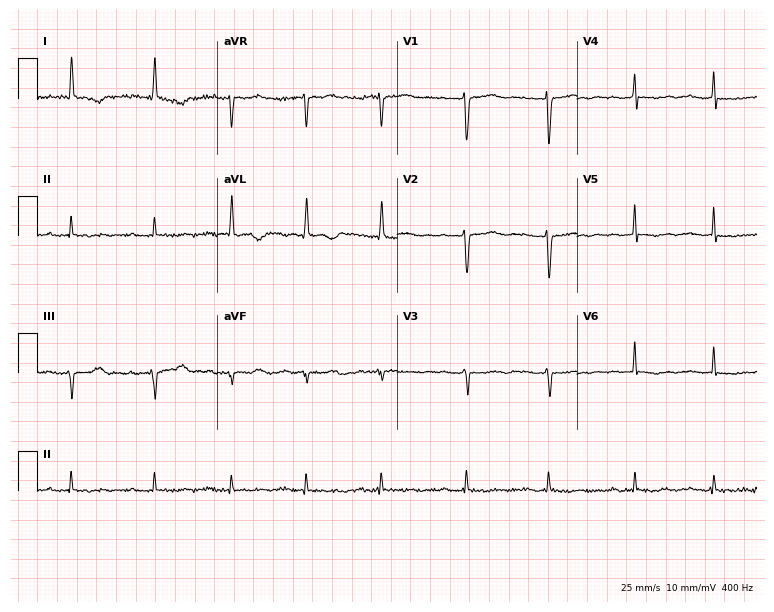
ECG (7.3-second recording at 400 Hz) — a woman, 65 years old. Screened for six findings — first-degree AV block, right bundle branch block (RBBB), left bundle branch block (LBBB), sinus bradycardia, atrial fibrillation (AF), sinus tachycardia — none is recorded.